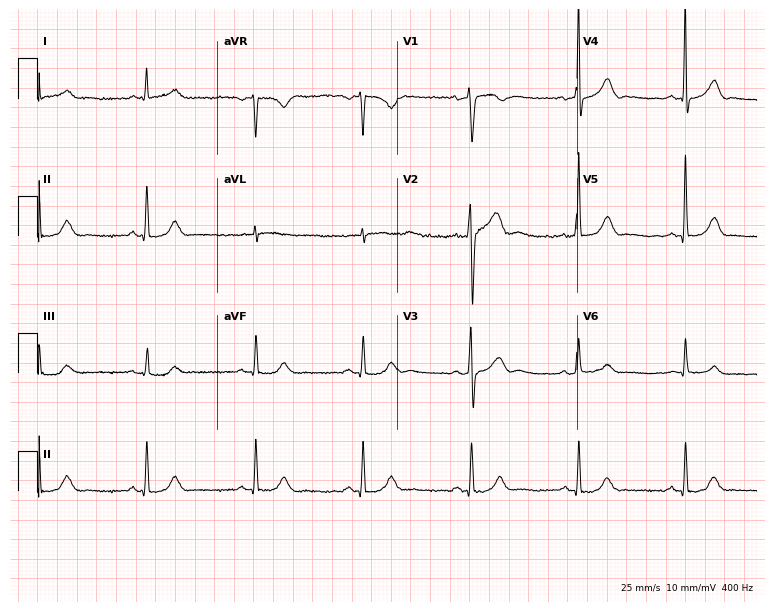
Electrocardiogram (7.3-second recording at 400 Hz), a man, 68 years old. Overall reading on record: normal ECG.